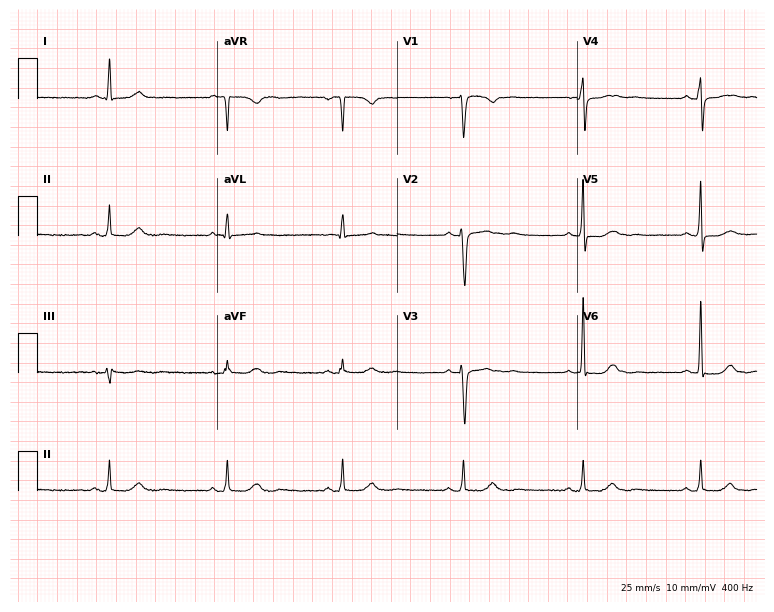
Electrocardiogram, a female, 47 years old. Of the six screened findings (first-degree AV block, right bundle branch block, left bundle branch block, sinus bradycardia, atrial fibrillation, sinus tachycardia), none is recorded.